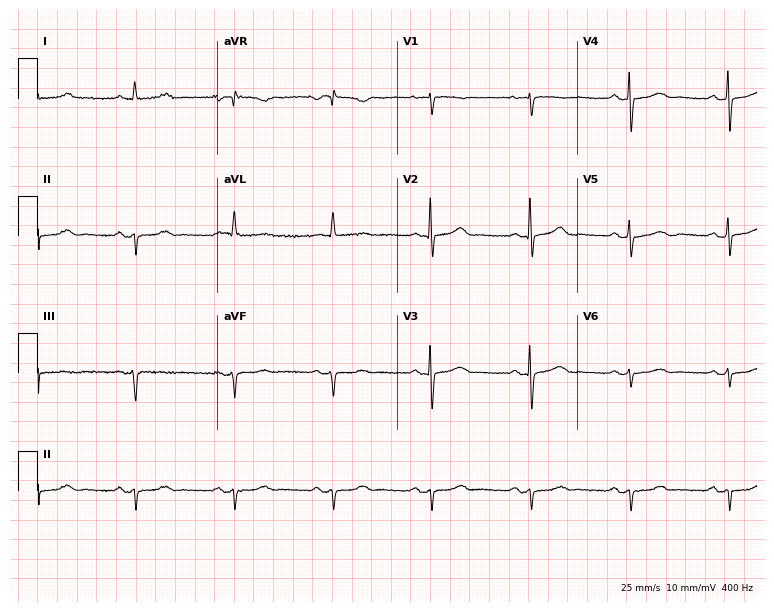
12-lead ECG from an 85-year-old female patient. No first-degree AV block, right bundle branch block, left bundle branch block, sinus bradycardia, atrial fibrillation or sinus tachycardia recorded for this tracing.